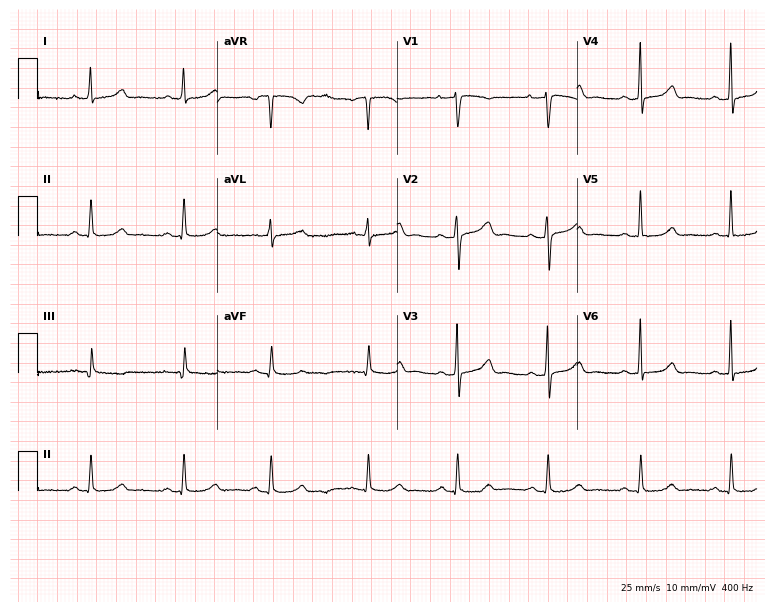
12-lead ECG (7.3-second recording at 400 Hz) from a 53-year-old female patient. Labelled as a normal ECG.